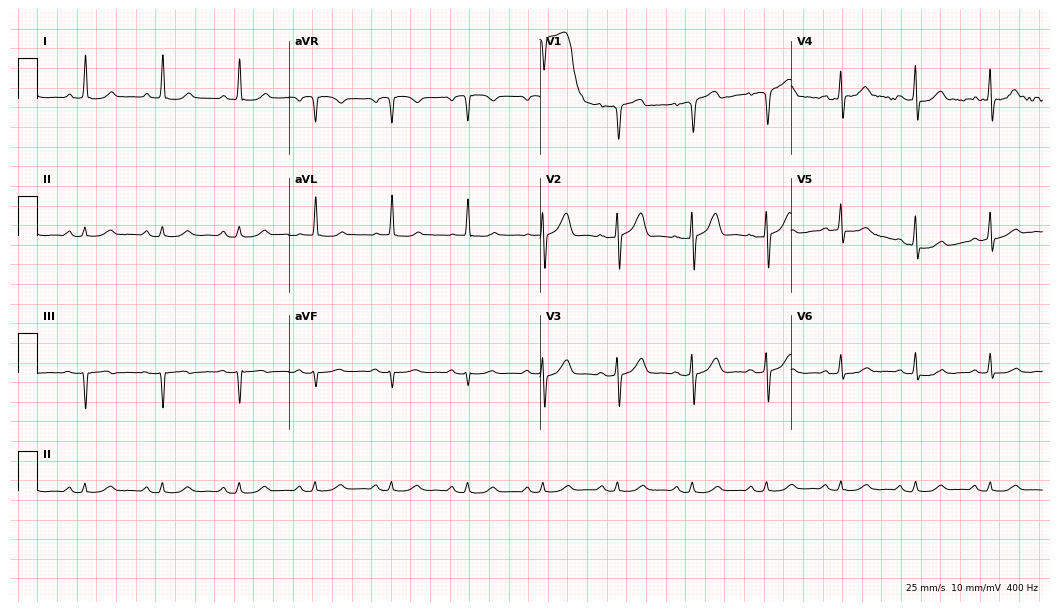
Electrocardiogram, a 71-year-old male patient. Overall reading on record: normal ECG.